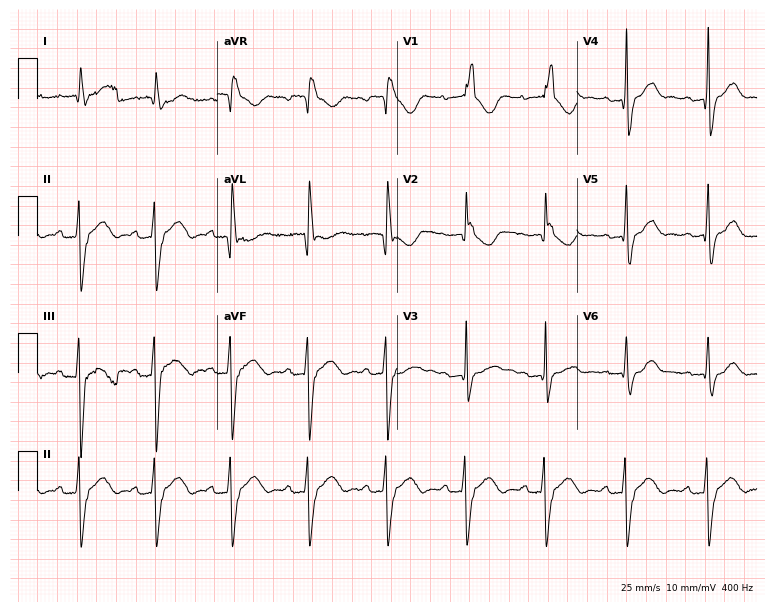
12-lead ECG from a female, 60 years old. Shows first-degree AV block, right bundle branch block (RBBB).